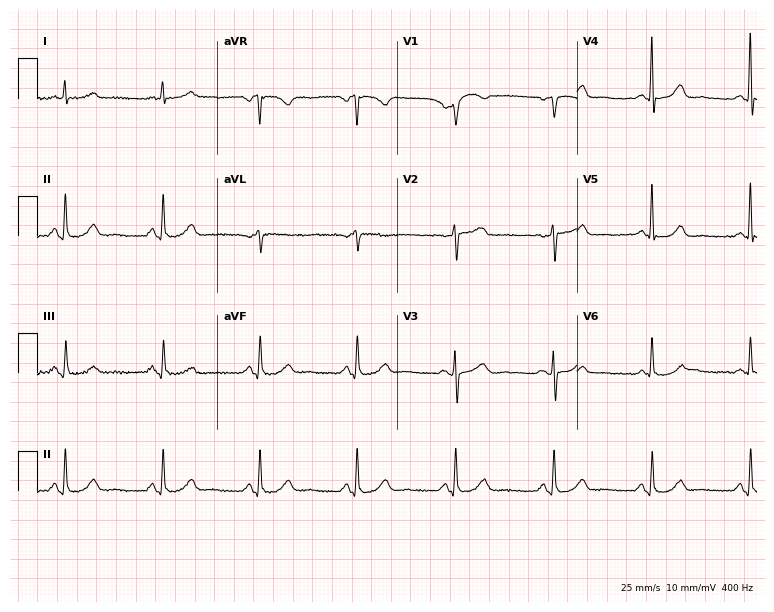
Electrocardiogram, a female patient, 60 years old. Overall reading on record: normal ECG.